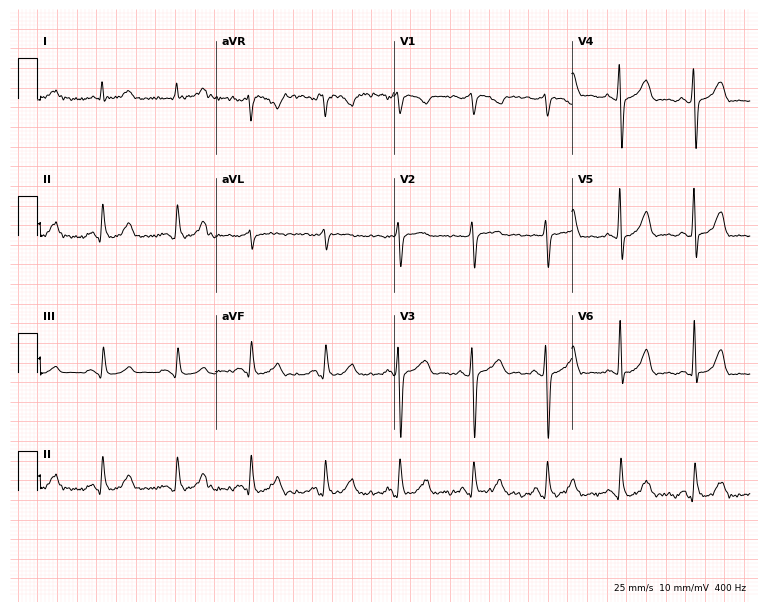
12-lead ECG (7.3-second recording at 400 Hz) from a 67-year-old male. Labelled as a normal ECG.